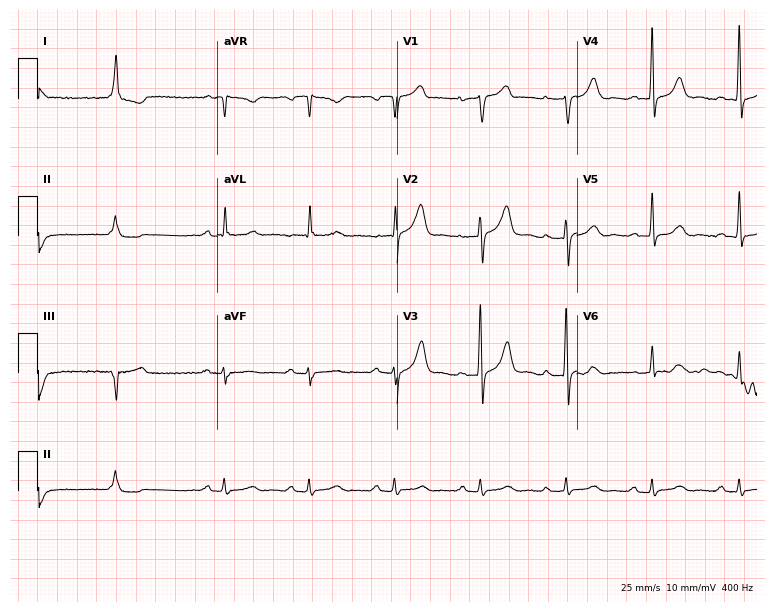
Electrocardiogram (7.3-second recording at 400 Hz), a 77-year-old man. Of the six screened findings (first-degree AV block, right bundle branch block, left bundle branch block, sinus bradycardia, atrial fibrillation, sinus tachycardia), none is recorded. Only these six findings were labelled.